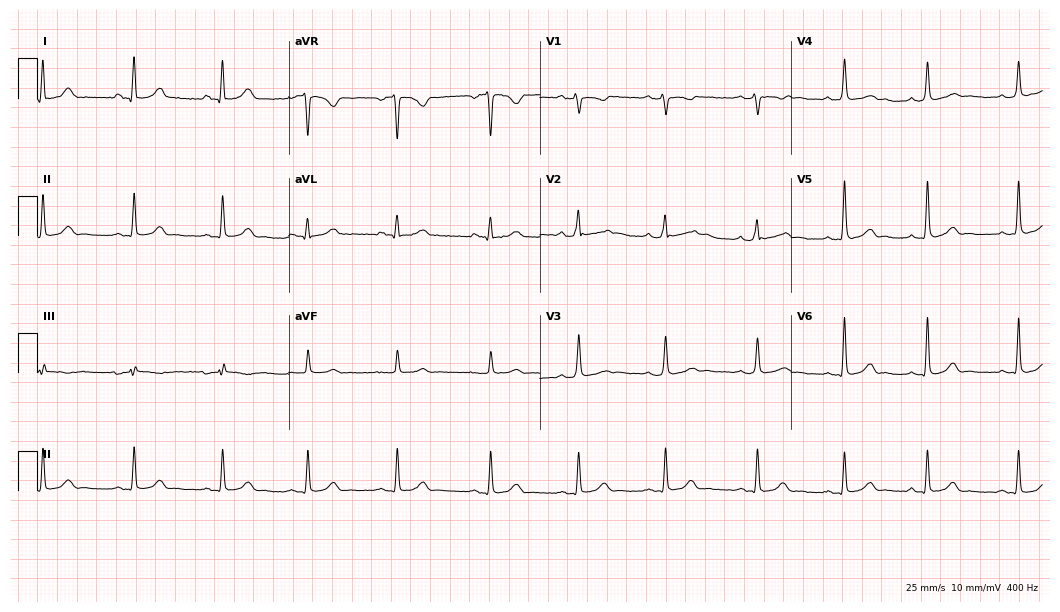
Resting 12-lead electrocardiogram (10.2-second recording at 400 Hz). Patient: a male, 23 years old. Read as a normal ECG.